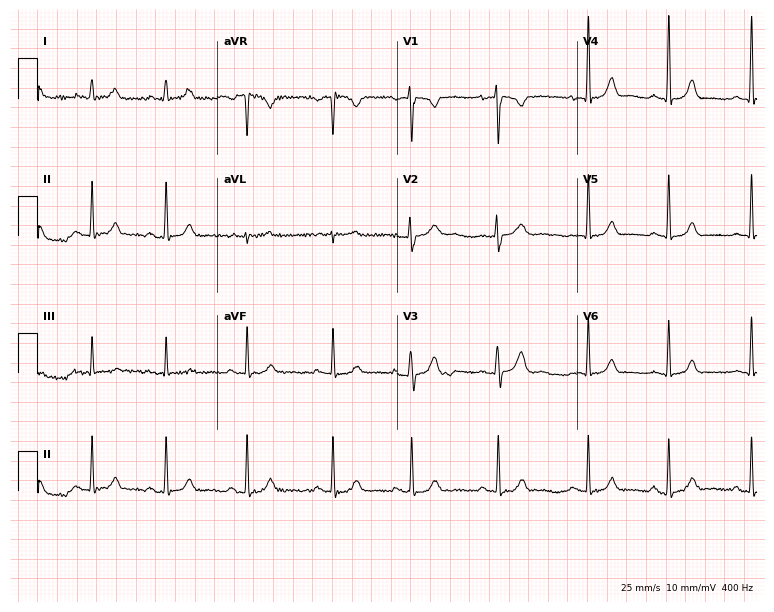
Standard 12-lead ECG recorded from a female, 32 years old (7.3-second recording at 400 Hz). Read as a normal ECG.